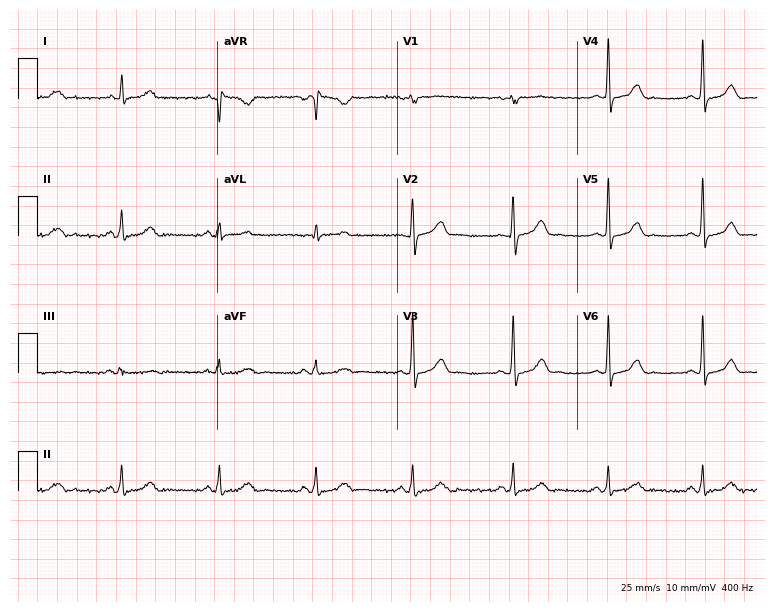
Electrocardiogram (7.3-second recording at 400 Hz), a 35-year-old female. Overall reading on record: normal ECG.